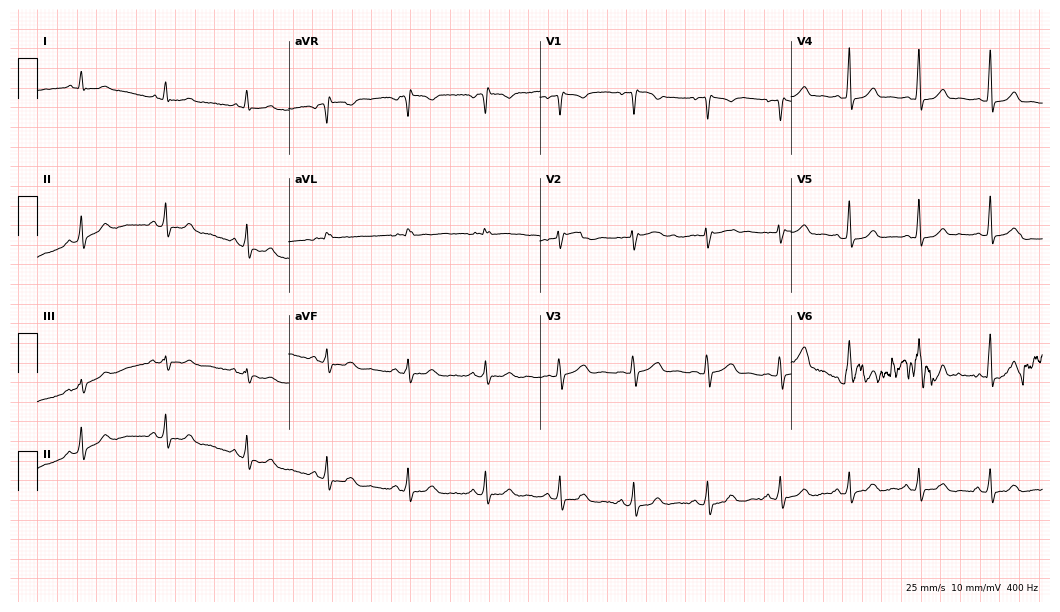
12-lead ECG (10.2-second recording at 400 Hz) from a female, 39 years old. Labelled as a normal ECG.